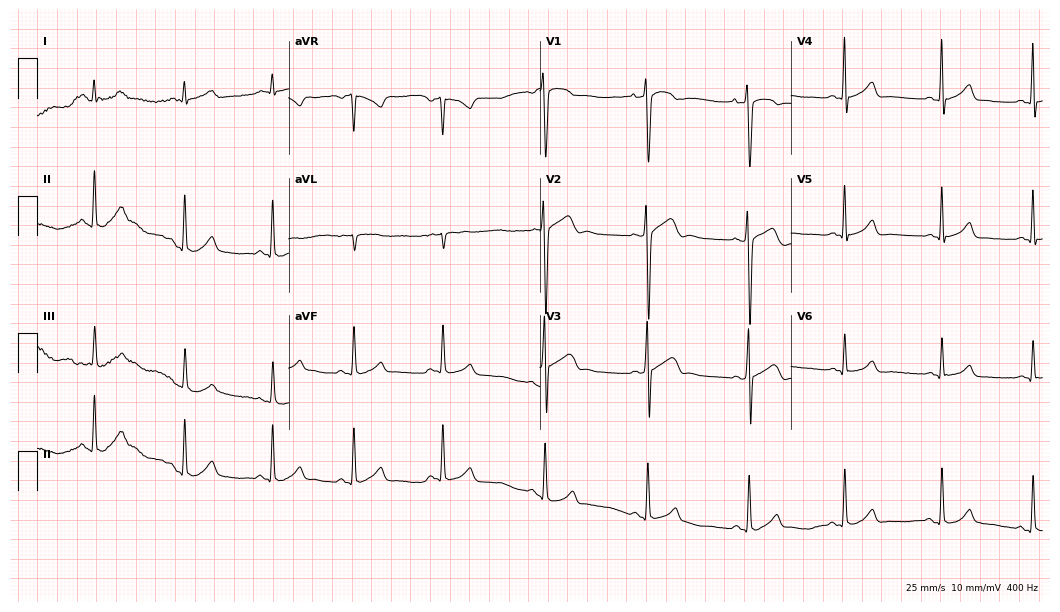
Resting 12-lead electrocardiogram (10.2-second recording at 400 Hz). Patient: a 23-year-old male. Read as a normal ECG.